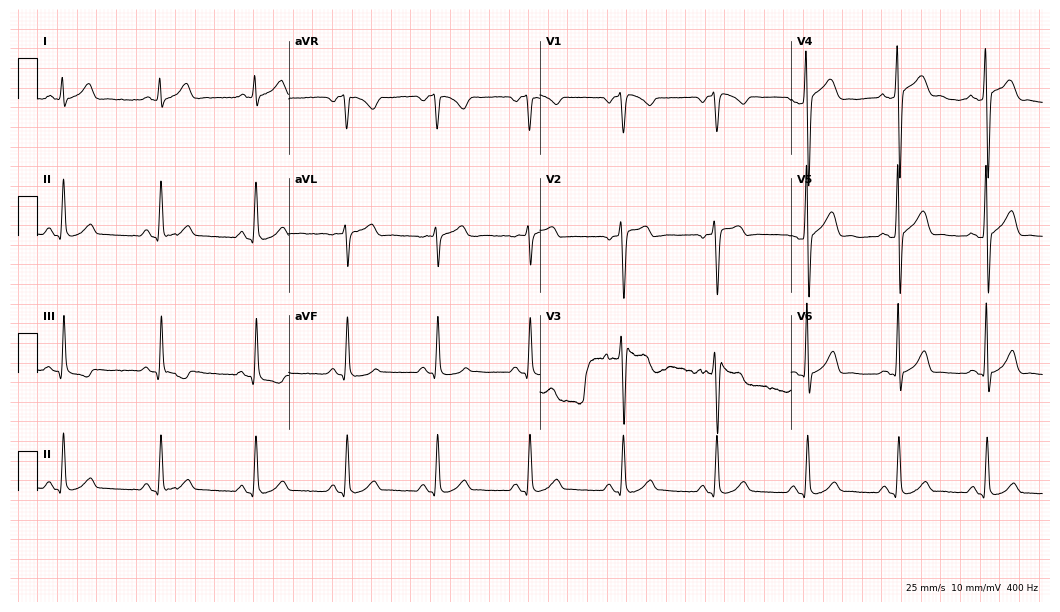
Resting 12-lead electrocardiogram. Patient: a man, 45 years old. Read as a normal ECG.